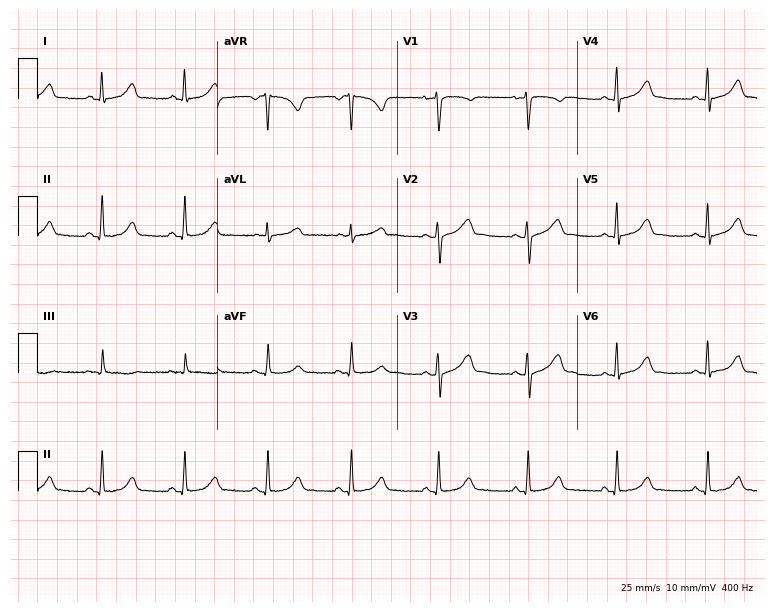
Standard 12-lead ECG recorded from a 28-year-old woman. None of these six findings is recorded: first-degree AV block, right bundle branch block, left bundle branch block, sinus bradycardia, atrial fibrillation, sinus tachycardia. Other findings, if any, are not listed.